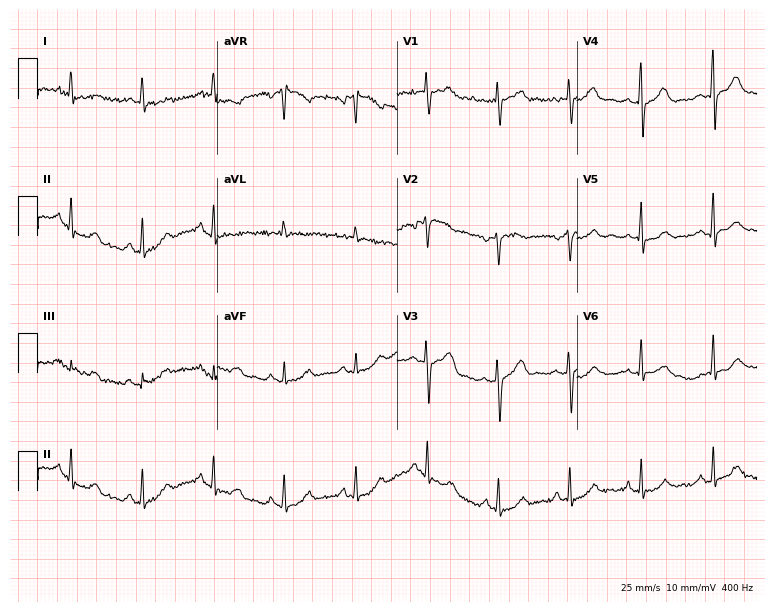
12-lead ECG from a 55-year-old female. Recorded interpretation: within normal limits.